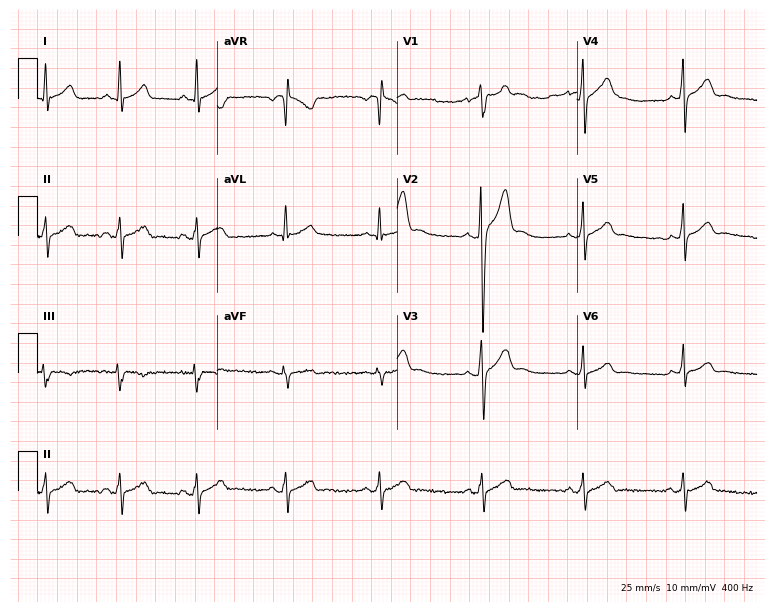
Electrocardiogram (7.3-second recording at 400 Hz), a 30-year-old male patient. Of the six screened findings (first-degree AV block, right bundle branch block, left bundle branch block, sinus bradycardia, atrial fibrillation, sinus tachycardia), none is recorded. Other findings, if any, are not listed.